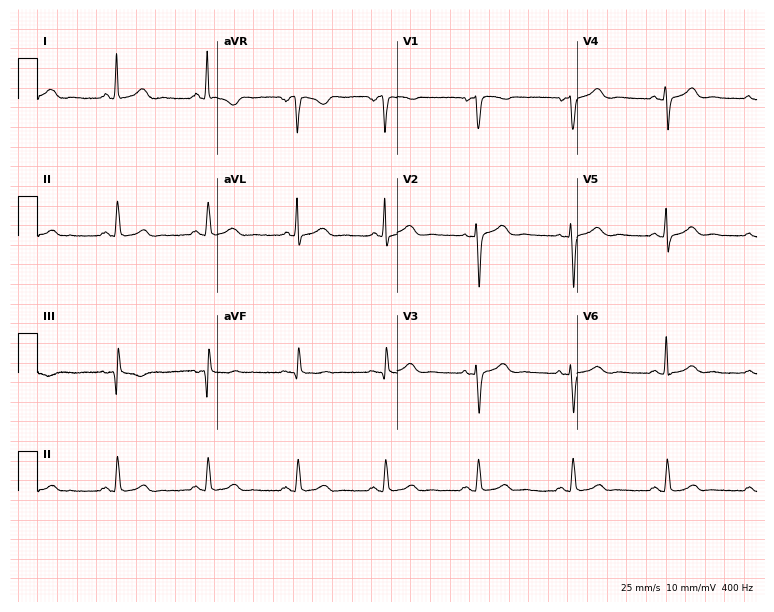
12-lead ECG (7.3-second recording at 400 Hz) from a 56-year-old female. Labelled as a normal ECG.